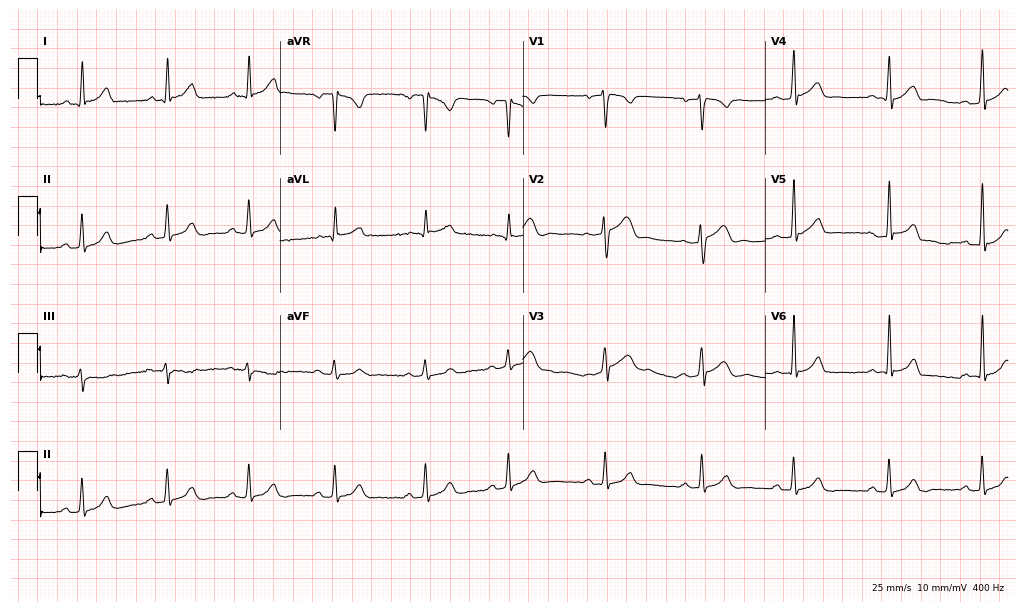
Electrocardiogram (9.9-second recording at 400 Hz), a male, 22 years old. Of the six screened findings (first-degree AV block, right bundle branch block, left bundle branch block, sinus bradycardia, atrial fibrillation, sinus tachycardia), none is recorded. Other findings, if any, are not listed.